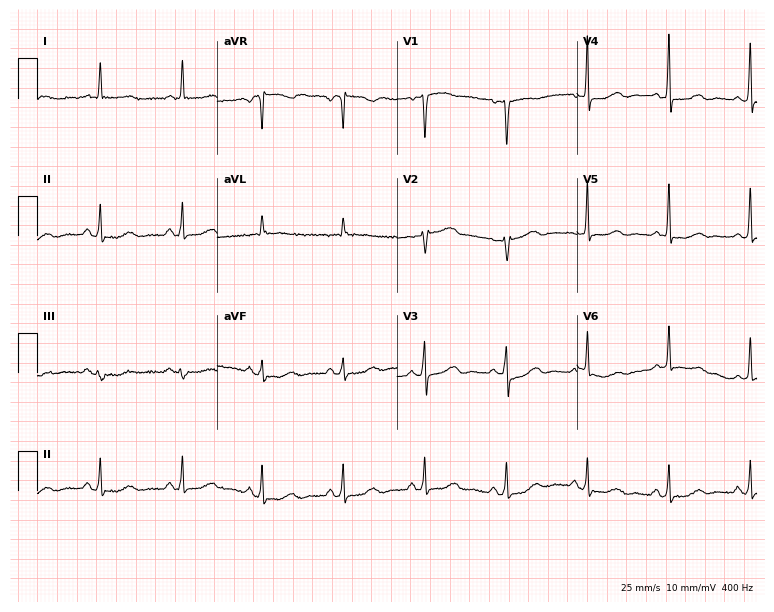
12-lead ECG from a 64-year-old female patient. Recorded interpretation: within normal limits.